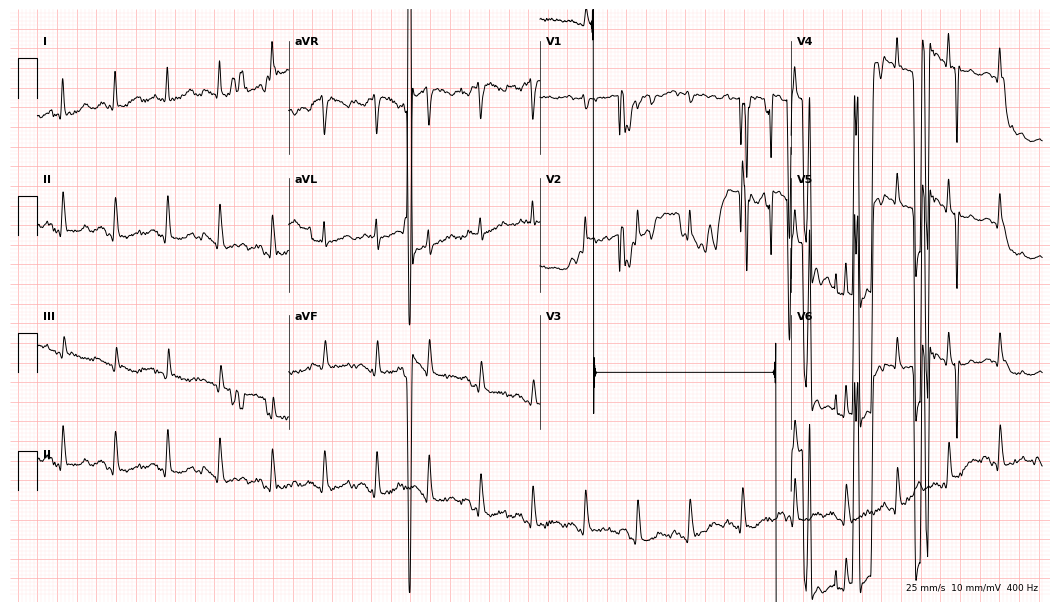
Electrocardiogram, a 33-year-old female patient. Of the six screened findings (first-degree AV block, right bundle branch block, left bundle branch block, sinus bradycardia, atrial fibrillation, sinus tachycardia), none is recorded.